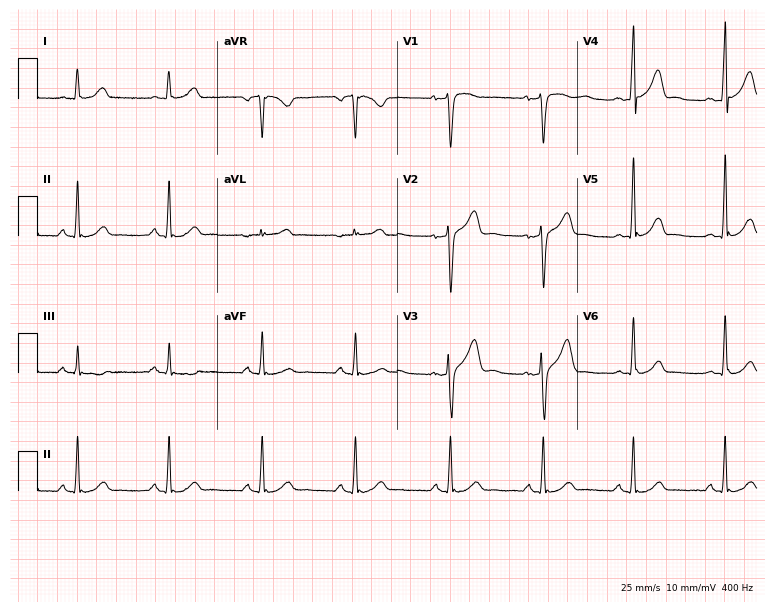
Standard 12-lead ECG recorded from a 42-year-old male patient (7.3-second recording at 400 Hz). Read as a normal ECG.